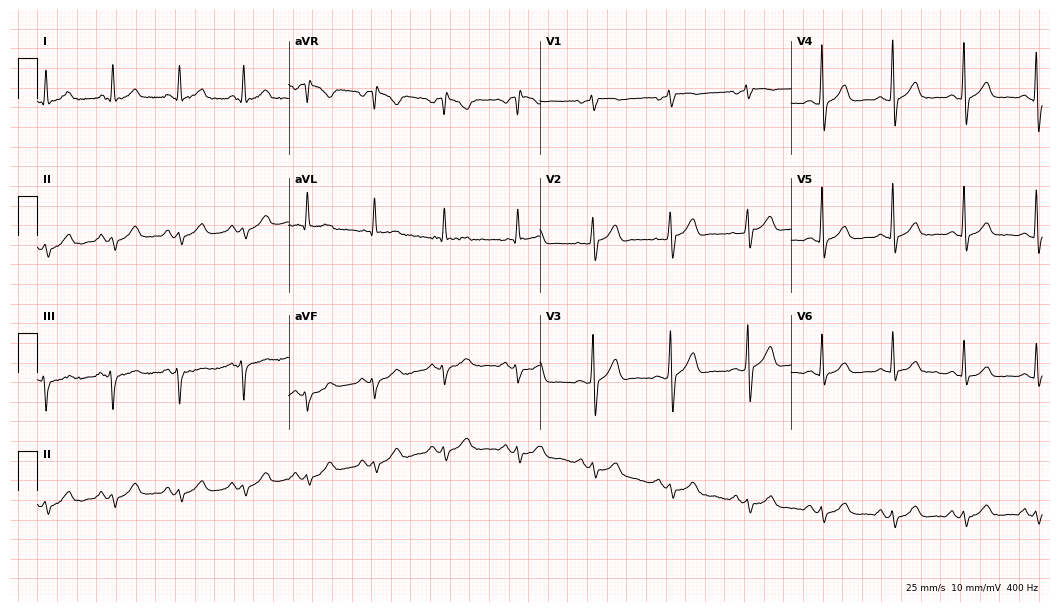
Electrocardiogram, a 47-year-old man. Of the six screened findings (first-degree AV block, right bundle branch block (RBBB), left bundle branch block (LBBB), sinus bradycardia, atrial fibrillation (AF), sinus tachycardia), none is recorded.